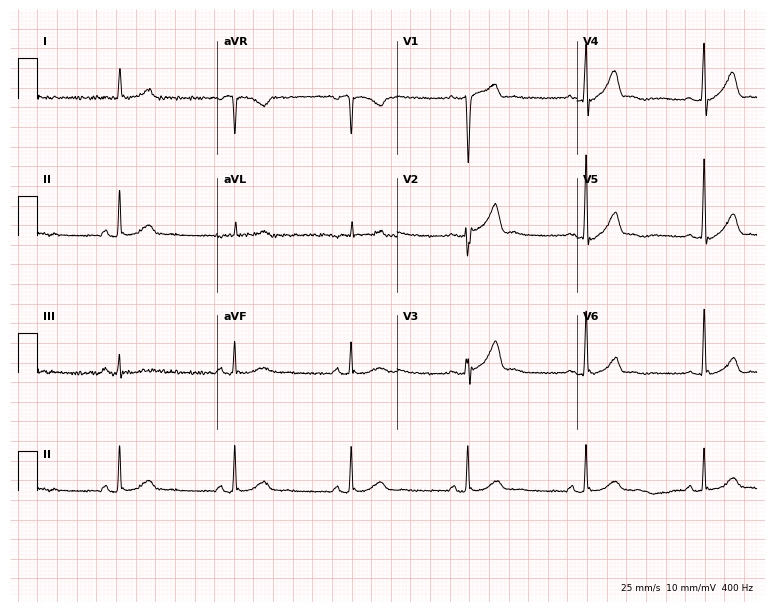
12-lead ECG (7.3-second recording at 400 Hz) from a male patient, 24 years old. Findings include sinus bradycardia (a sinus rate of 50 beats per minute or less).